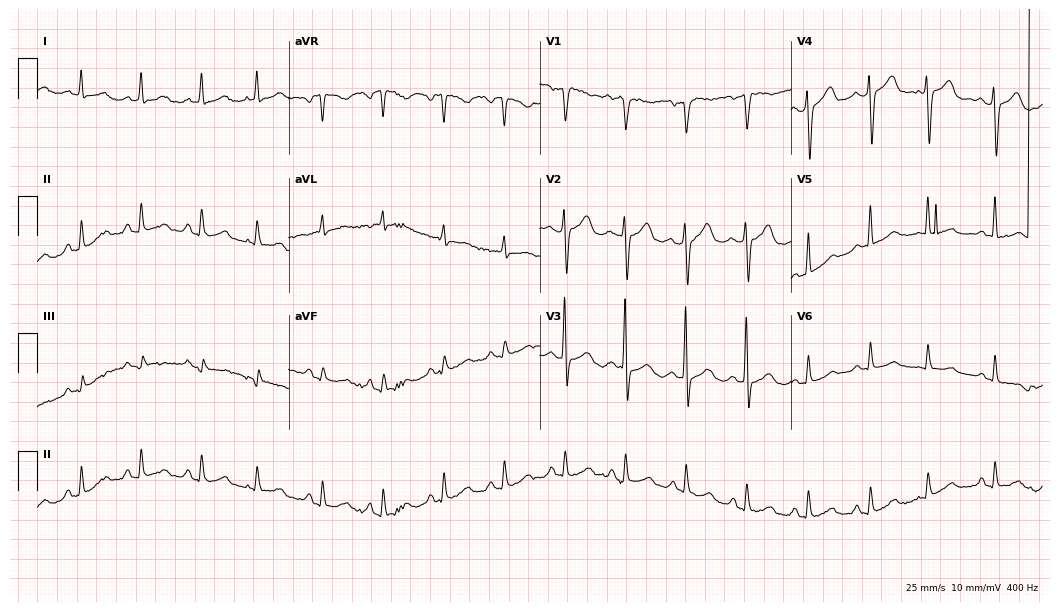
ECG — a 62-year-old female. Screened for six findings — first-degree AV block, right bundle branch block, left bundle branch block, sinus bradycardia, atrial fibrillation, sinus tachycardia — none is recorded. Other findings, if any, are not listed.